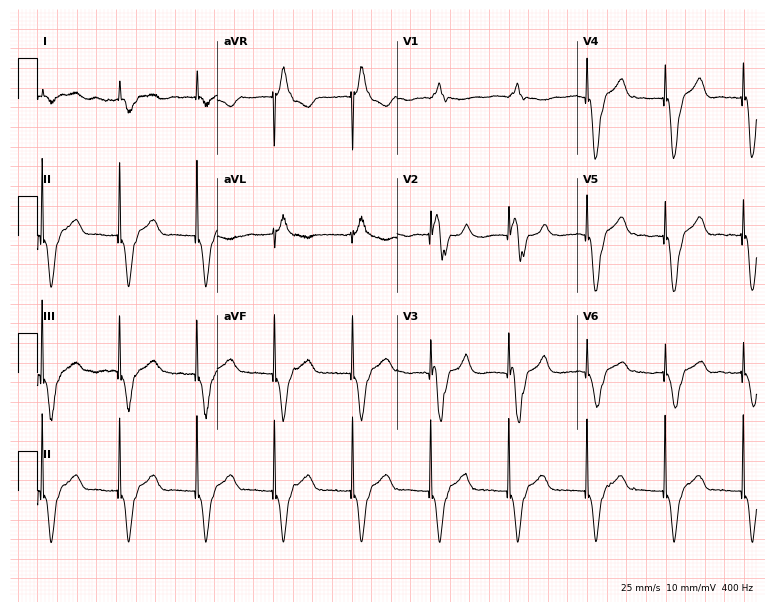
Electrocardiogram (7.3-second recording at 400 Hz), a male patient, 62 years old. Of the six screened findings (first-degree AV block, right bundle branch block (RBBB), left bundle branch block (LBBB), sinus bradycardia, atrial fibrillation (AF), sinus tachycardia), none is recorded.